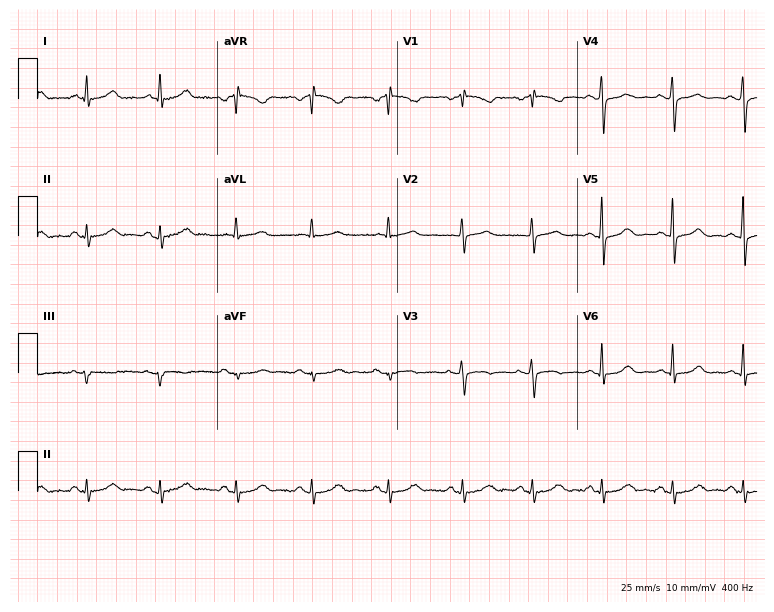
12-lead ECG from a female patient, 51 years old. Labelled as a normal ECG.